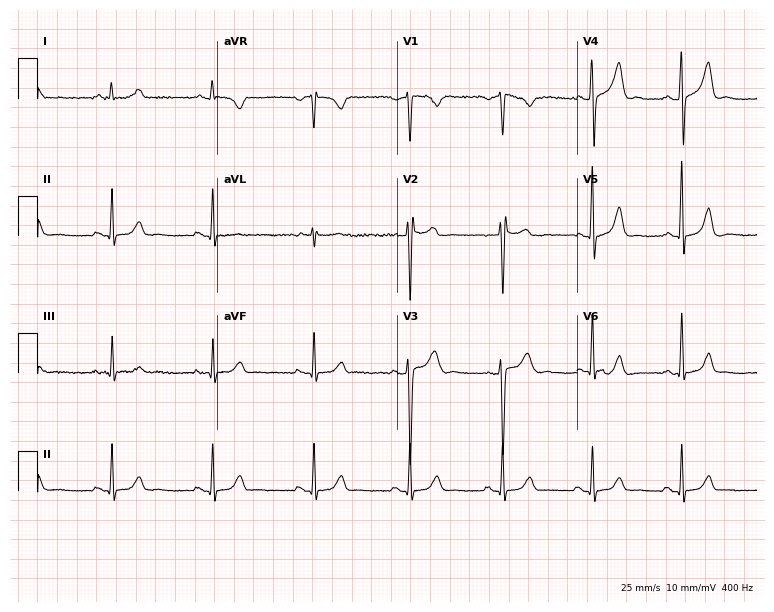
12-lead ECG from a male patient, 32 years old. Recorded interpretation: within normal limits.